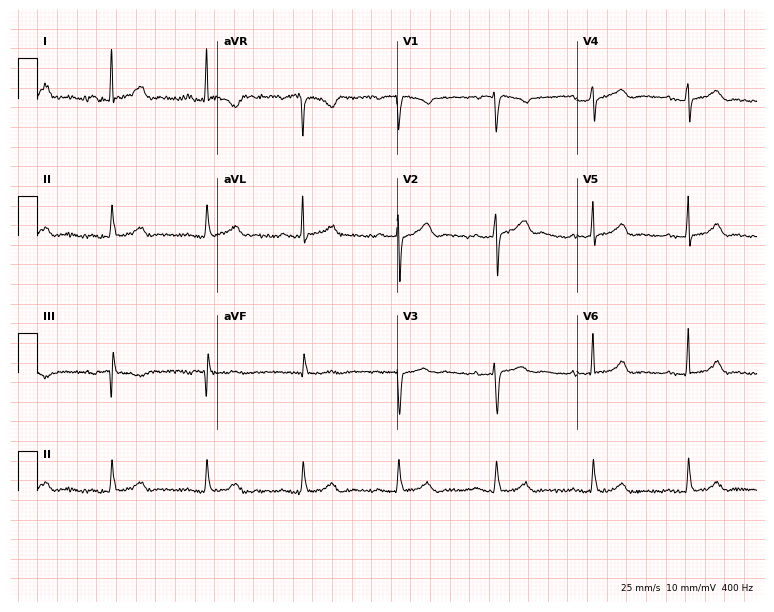
12-lead ECG (7.3-second recording at 400 Hz) from a woman, 61 years old. Findings include first-degree AV block.